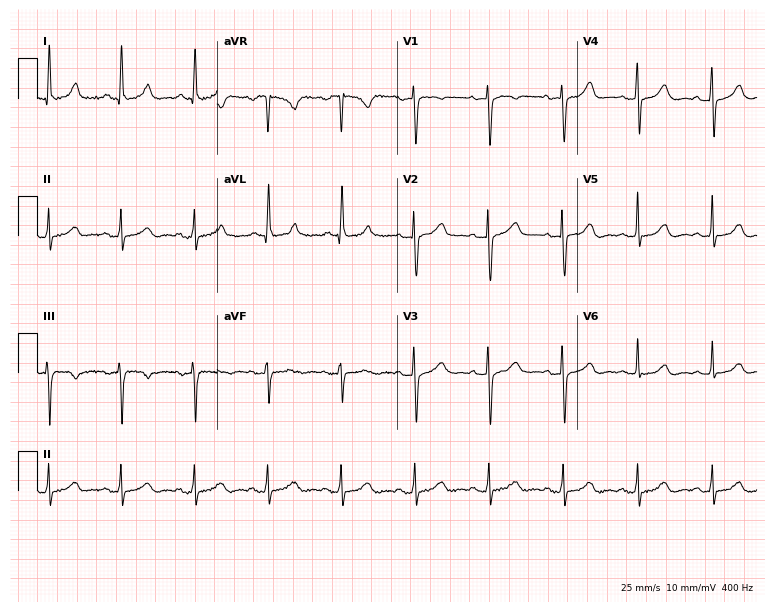
Resting 12-lead electrocardiogram. Patient: a female, 59 years old. None of these six findings is recorded: first-degree AV block, right bundle branch block (RBBB), left bundle branch block (LBBB), sinus bradycardia, atrial fibrillation (AF), sinus tachycardia. Findings outside these six are not listed.